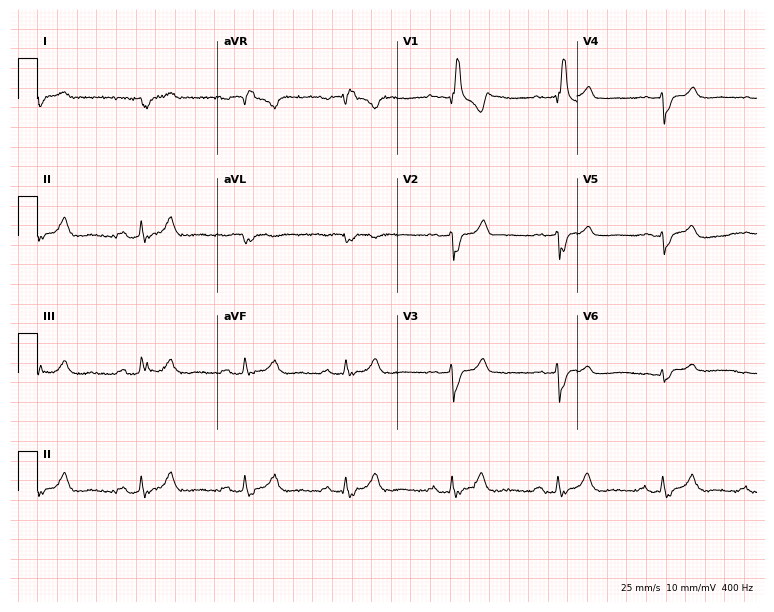
12-lead ECG from a 61-year-old man (7.3-second recording at 400 Hz). No first-degree AV block, right bundle branch block (RBBB), left bundle branch block (LBBB), sinus bradycardia, atrial fibrillation (AF) or sinus tachycardia recorded for this tracing.